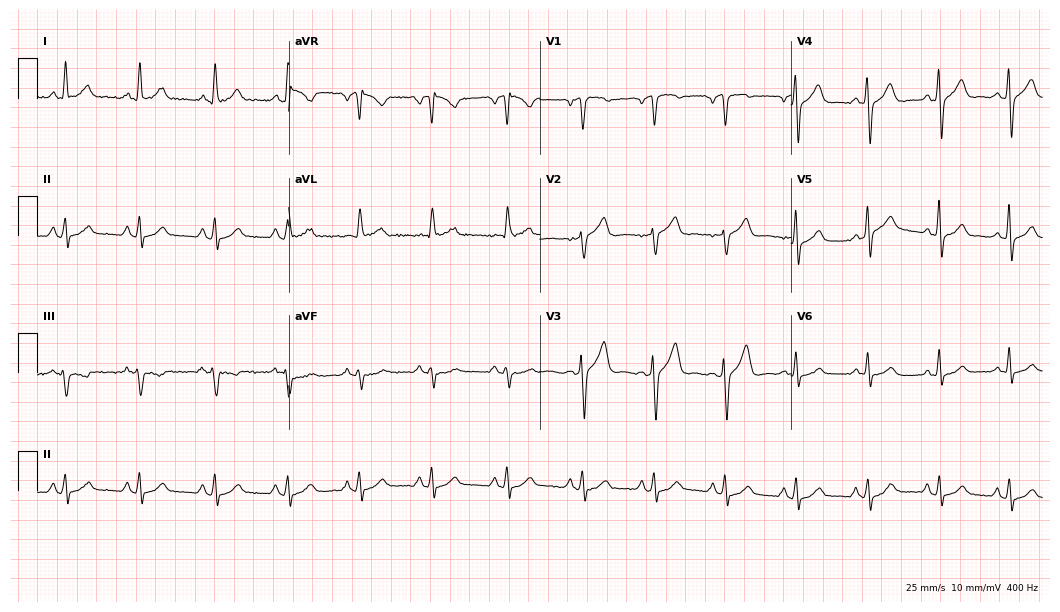
Resting 12-lead electrocardiogram. Patient: a male, 66 years old. Read as a normal ECG.